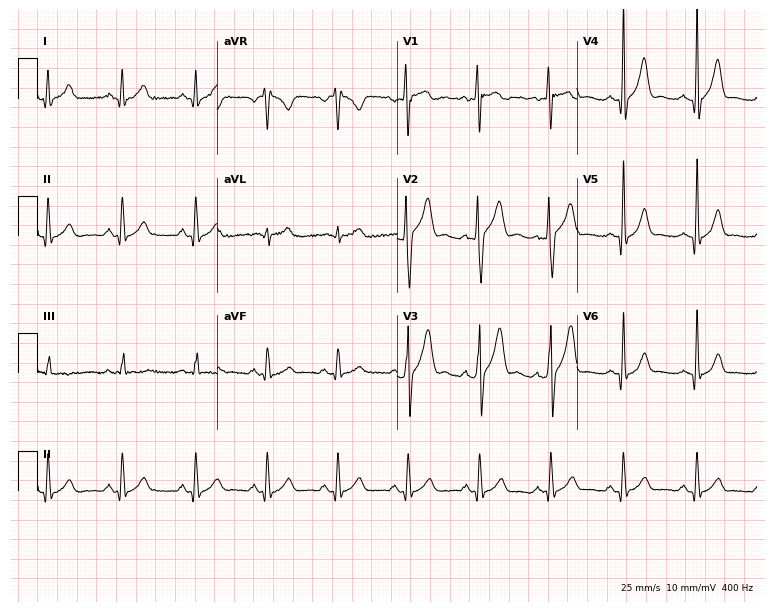
12-lead ECG from a 21-year-old male. Recorded interpretation: within normal limits.